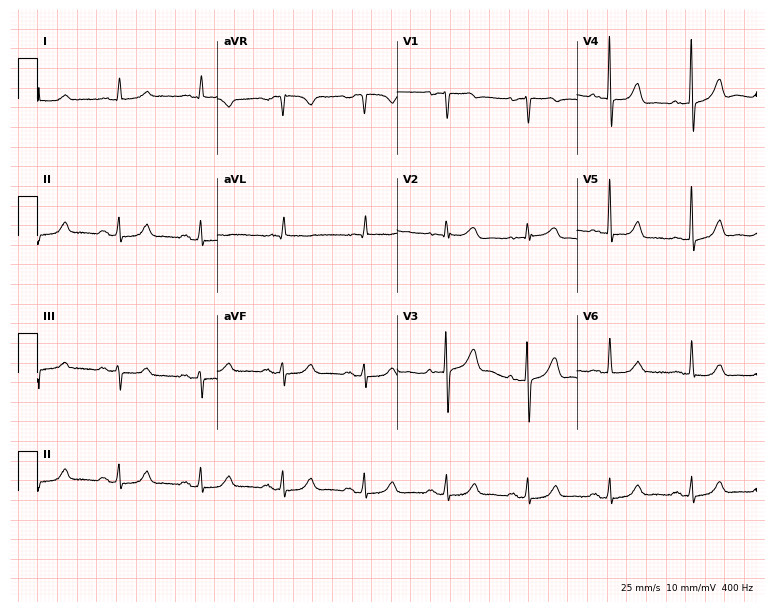
Standard 12-lead ECG recorded from a woman, 82 years old (7.3-second recording at 400 Hz). Read as a normal ECG.